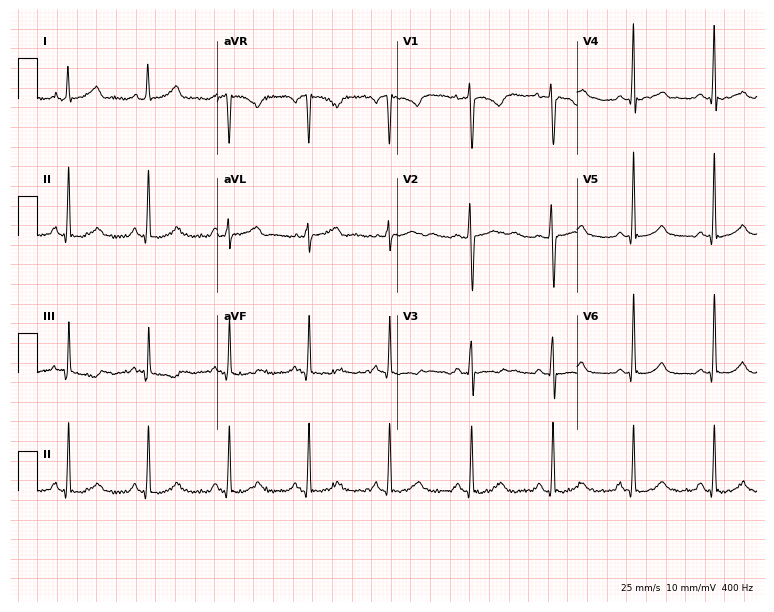
Electrocardiogram (7.3-second recording at 400 Hz), a 28-year-old female patient. Overall reading on record: normal ECG.